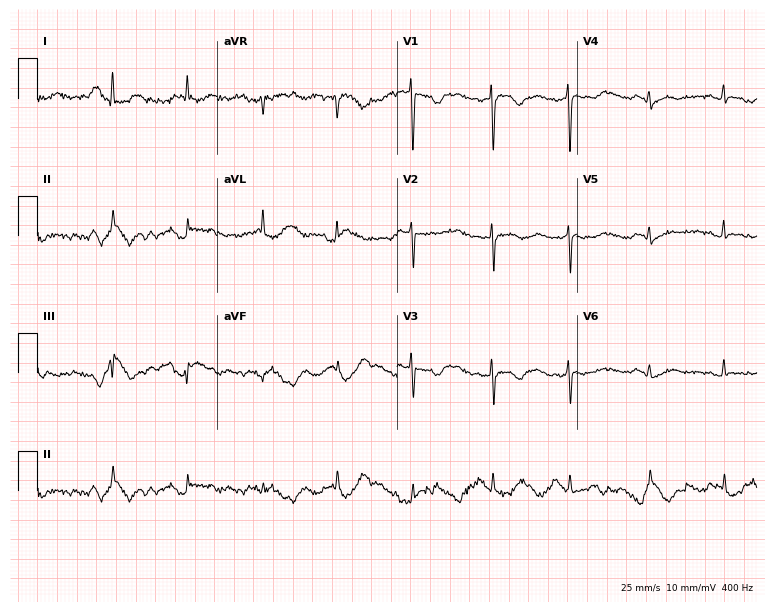
Standard 12-lead ECG recorded from a female patient, 35 years old. None of these six findings is recorded: first-degree AV block, right bundle branch block, left bundle branch block, sinus bradycardia, atrial fibrillation, sinus tachycardia. Other findings, if any, are not listed.